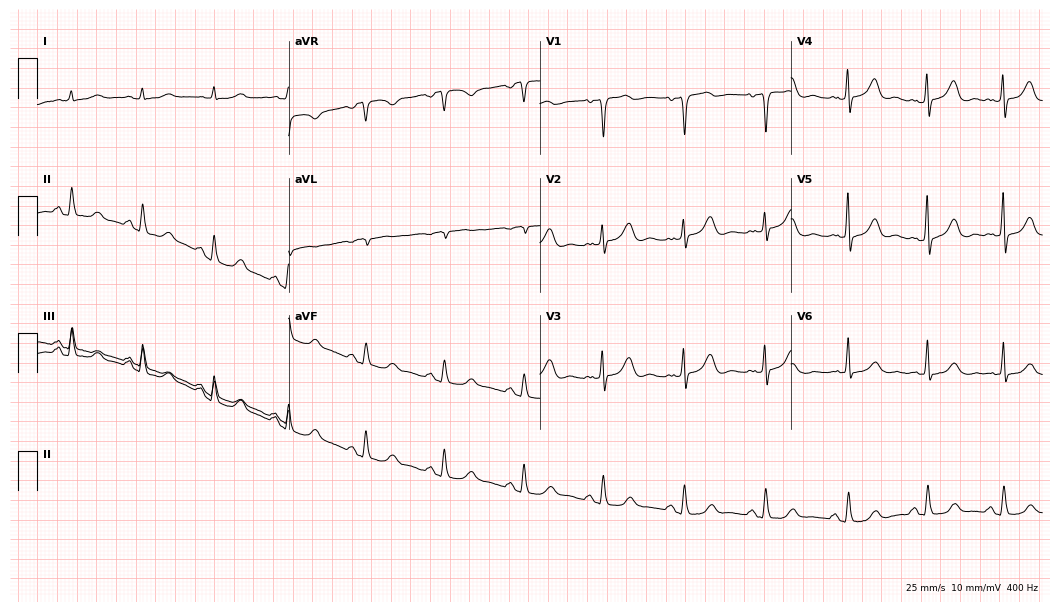
12-lead ECG (10.2-second recording at 400 Hz) from a male, 73 years old. Labelled as a normal ECG.